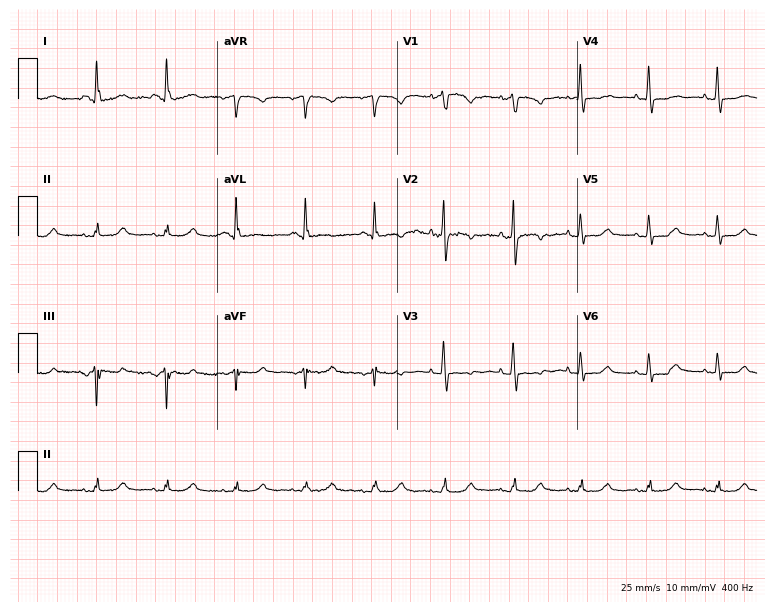
12-lead ECG from a female patient, 70 years old. No first-degree AV block, right bundle branch block, left bundle branch block, sinus bradycardia, atrial fibrillation or sinus tachycardia recorded for this tracing. Only these six findings were labelled.